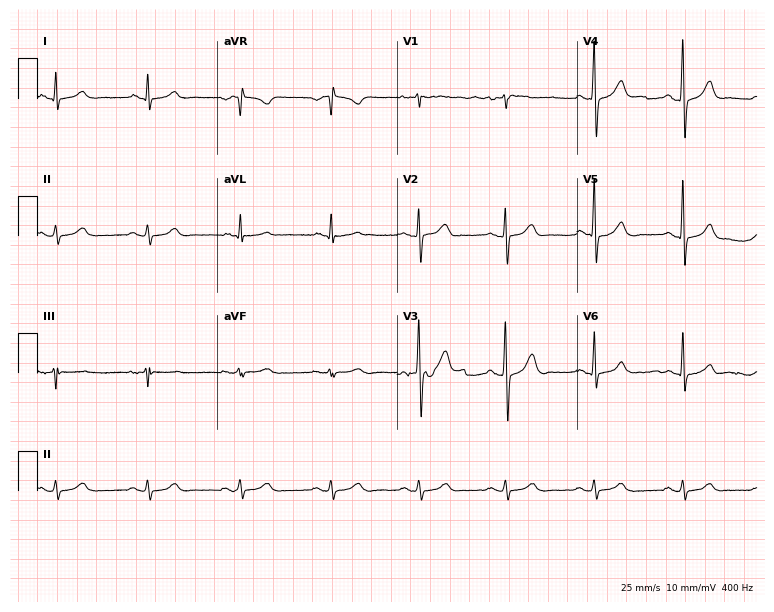
12-lead ECG (7.3-second recording at 400 Hz) from a male patient, 53 years old. Labelled as a normal ECG.